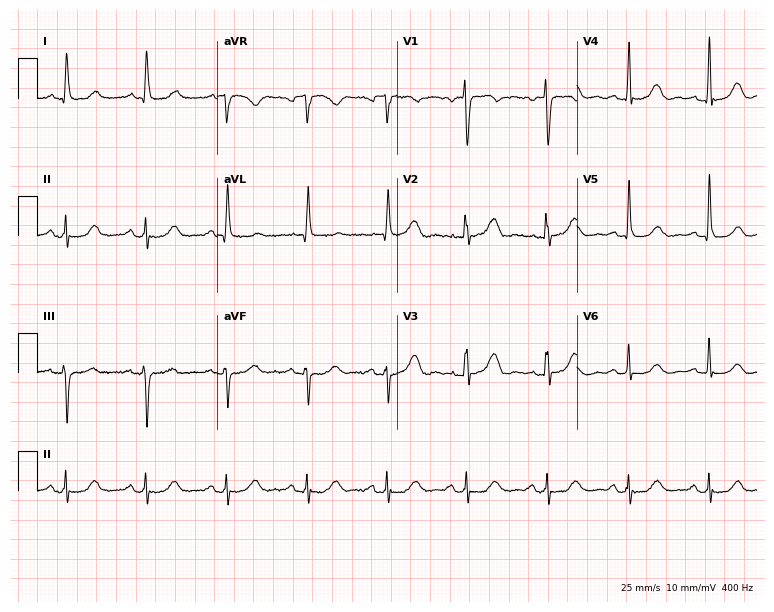
Resting 12-lead electrocardiogram (7.3-second recording at 400 Hz). Patient: a female, 79 years old. None of these six findings is recorded: first-degree AV block, right bundle branch block, left bundle branch block, sinus bradycardia, atrial fibrillation, sinus tachycardia. Only these six findings were labelled.